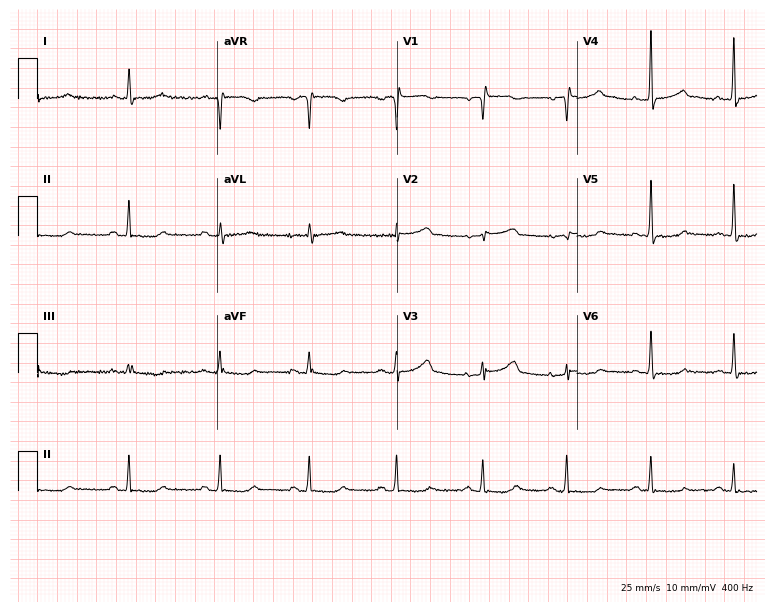
Resting 12-lead electrocardiogram. Patient: a 62-year-old female. None of these six findings is recorded: first-degree AV block, right bundle branch block, left bundle branch block, sinus bradycardia, atrial fibrillation, sinus tachycardia.